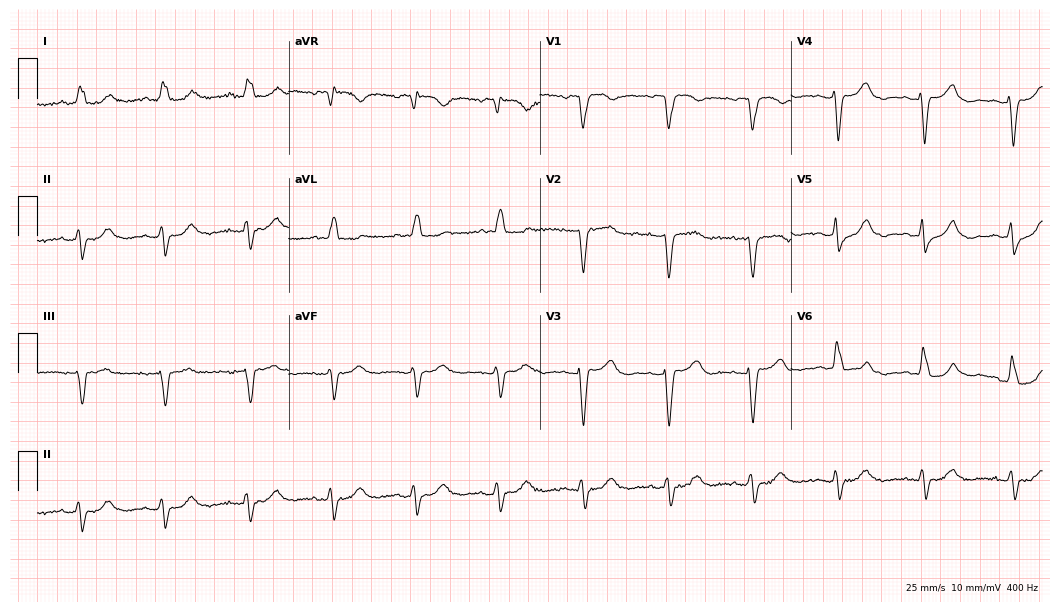
12-lead ECG from a female, 80 years old. No first-degree AV block, right bundle branch block, left bundle branch block, sinus bradycardia, atrial fibrillation or sinus tachycardia recorded for this tracing. Findings outside these six are not listed.